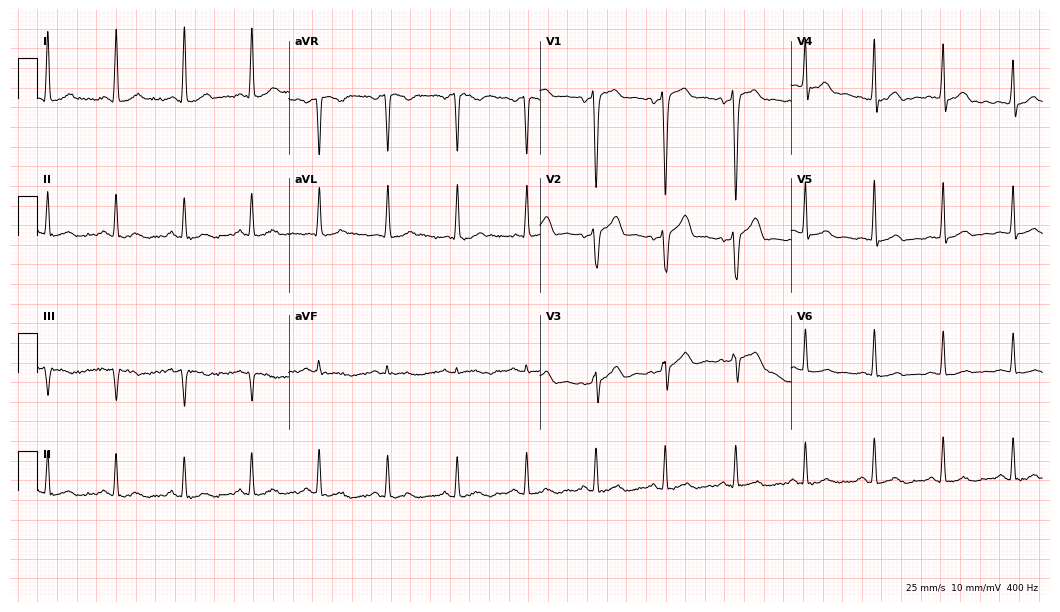
12-lead ECG from a 48-year-old woman (10.2-second recording at 400 Hz). No first-degree AV block, right bundle branch block, left bundle branch block, sinus bradycardia, atrial fibrillation or sinus tachycardia recorded for this tracing.